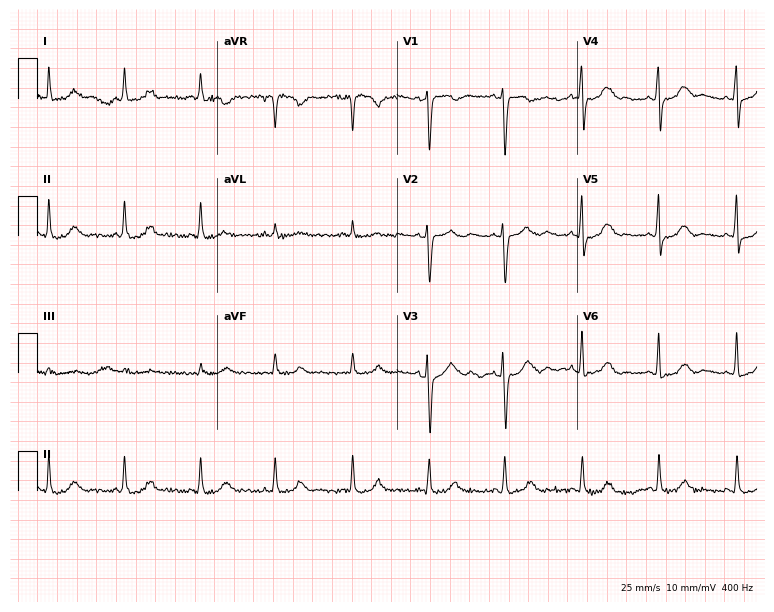
Electrocardiogram, a female, 32 years old. Of the six screened findings (first-degree AV block, right bundle branch block, left bundle branch block, sinus bradycardia, atrial fibrillation, sinus tachycardia), none is recorded.